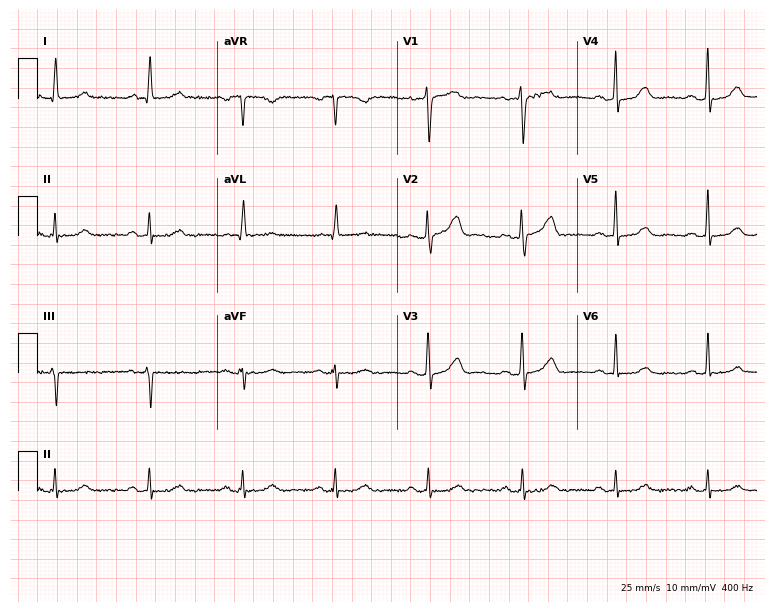
12-lead ECG from a 56-year-old woman. Labelled as a normal ECG.